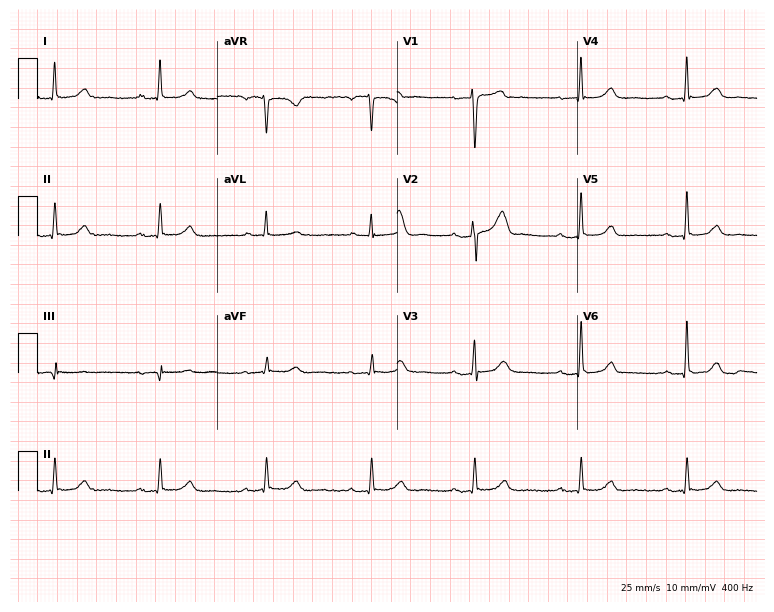
12-lead ECG from a male patient, 39 years old. Screened for six findings — first-degree AV block, right bundle branch block (RBBB), left bundle branch block (LBBB), sinus bradycardia, atrial fibrillation (AF), sinus tachycardia — none is recorded.